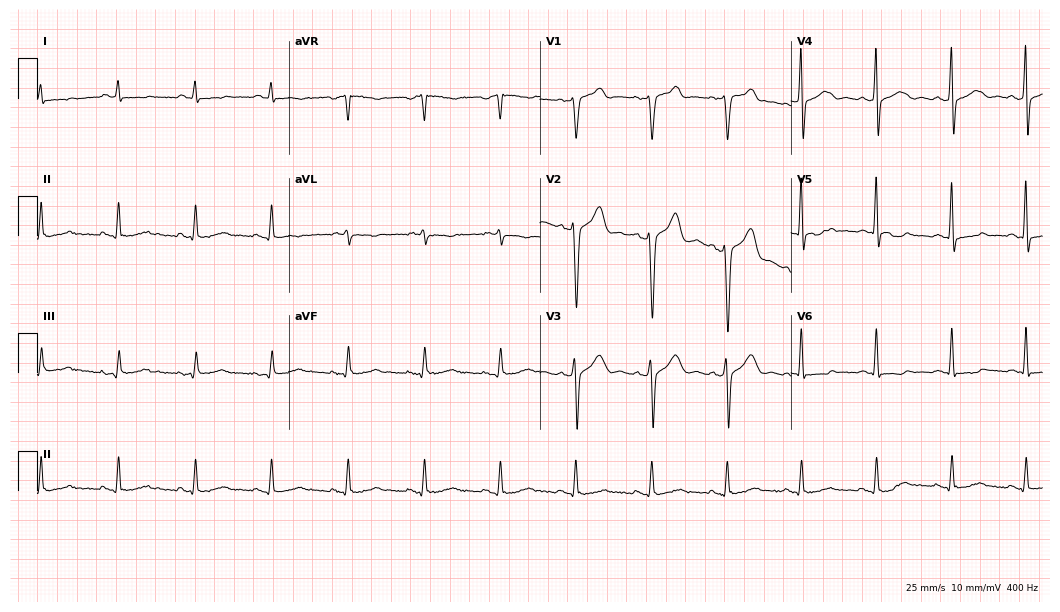
Resting 12-lead electrocardiogram (10.2-second recording at 400 Hz). Patient: a male, 52 years old. None of these six findings is recorded: first-degree AV block, right bundle branch block, left bundle branch block, sinus bradycardia, atrial fibrillation, sinus tachycardia.